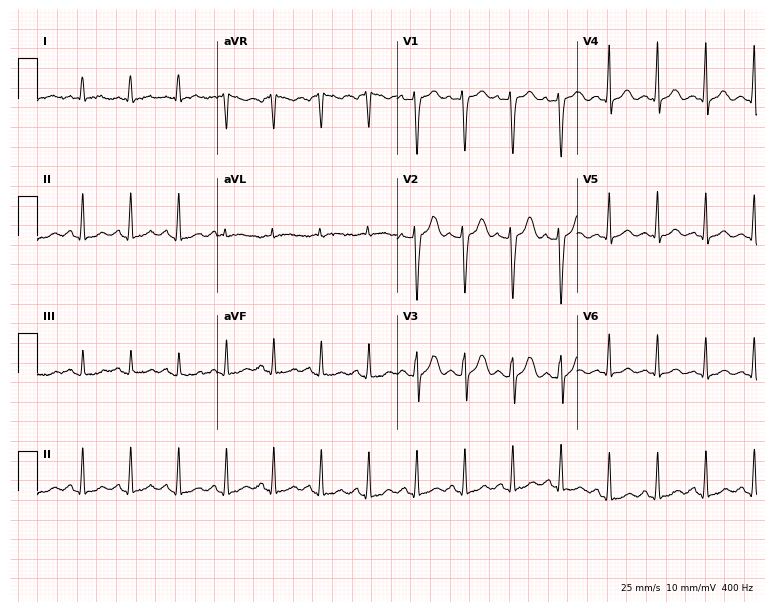
Electrocardiogram (7.3-second recording at 400 Hz), a female patient, 27 years old. Interpretation includes sinus tachycardia (a sinus rate of 100 beats per minute or more).